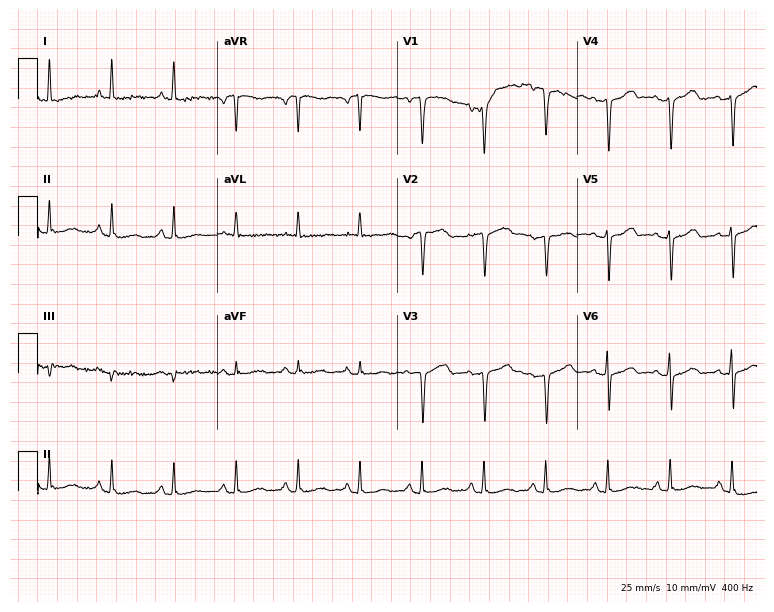
Electrocardiogram, a woman, 49 years old. Of the six screened findings (first-degree AV block, right bundle branch block (RBBB), left bundle branch block (LBBB), sinus bradycardia, atrial fibrillation (AF), sinus tachycardia), none is recorded. Findings outside these six are not listed.